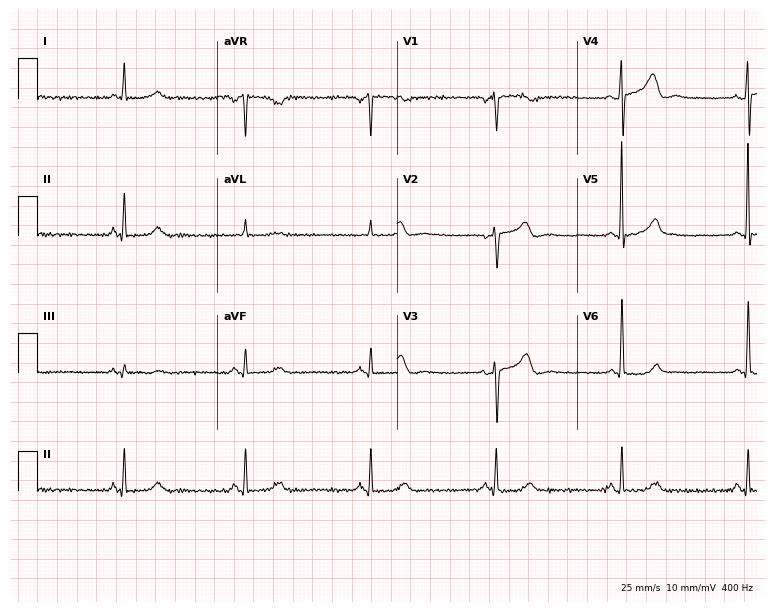
Electrocardiogram (7.3-second recording at 400 Hz), a female, 69 years old. Interpretation includes sinus bradycardia (a sinus rate of 50 beats per minute or less).